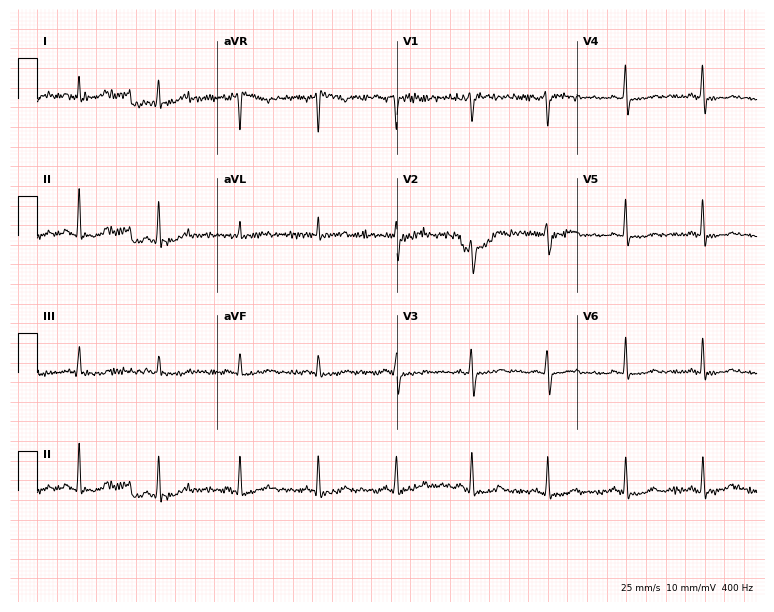
12-lead ECG from a 45-year-old female. Recorded interpretation: within normal limits.